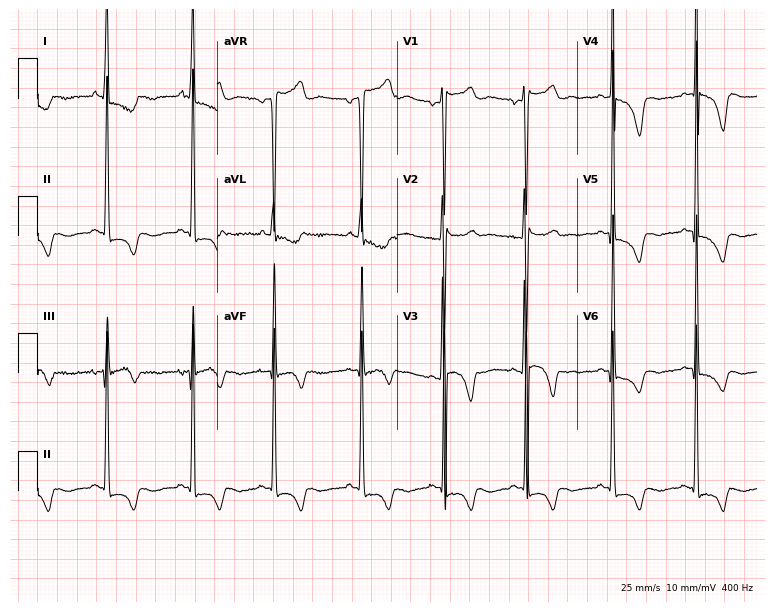
Resting 12-lead electrocardiogram (7.3-second recording at 400 Hz). Patient: a 21-year-old woman. None of these six findings is recorded: first-degree AV block, right bundle branch block, left bundle branch block, sinus bradycardia, atrial fibrillation, sinus tachycardia.